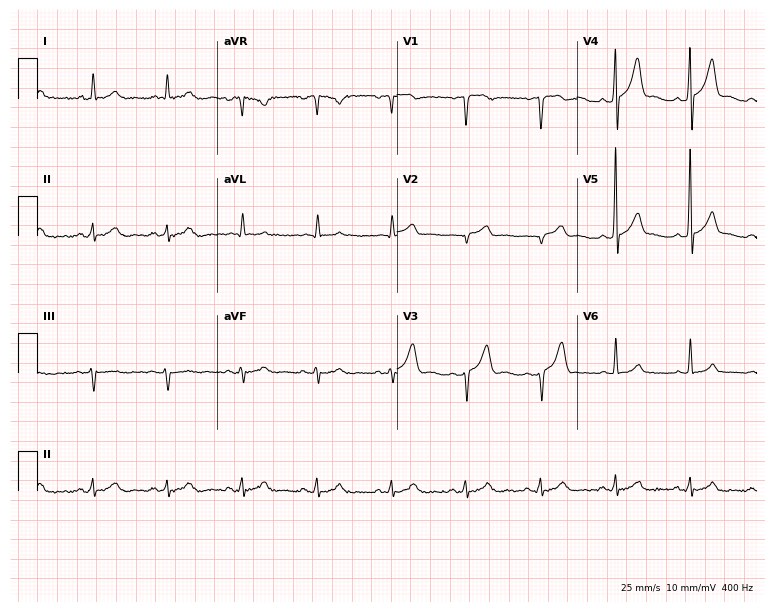
ECG (7.3-second recording at 400 Hz) — a 53-year-old man. Screened for six findings — first-degree AV block, right bundle branch block, left bundle branch block, sinus bradycardia, atrial fibrillation, sinus tachycardia — none is recorded. Only these six findings were labelled.